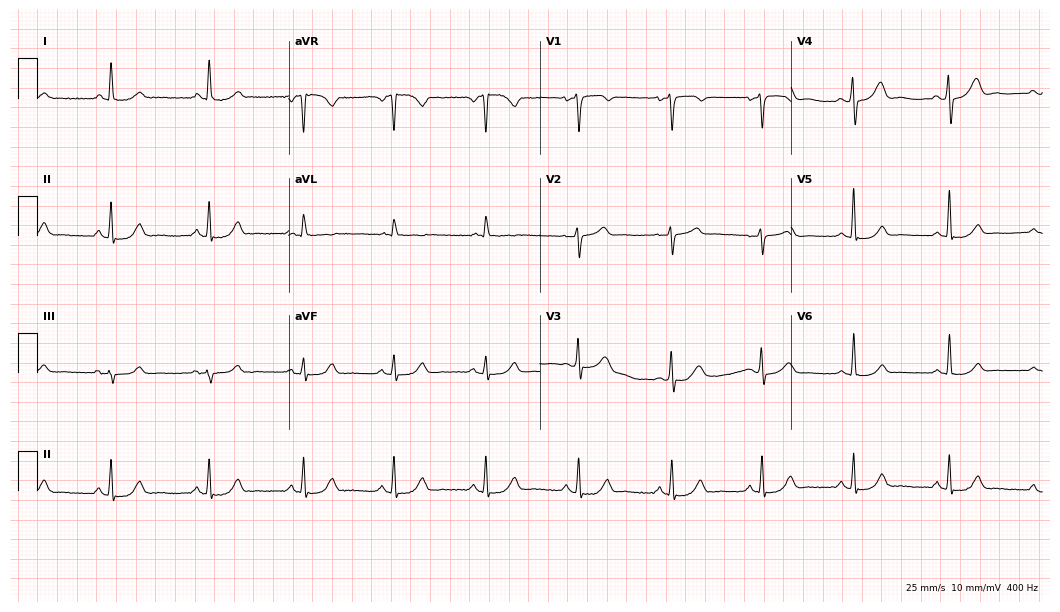
ECG (10.2-second recording at 400 Hz) — a female patient, 50 years old. Labelled as a normal ECG.